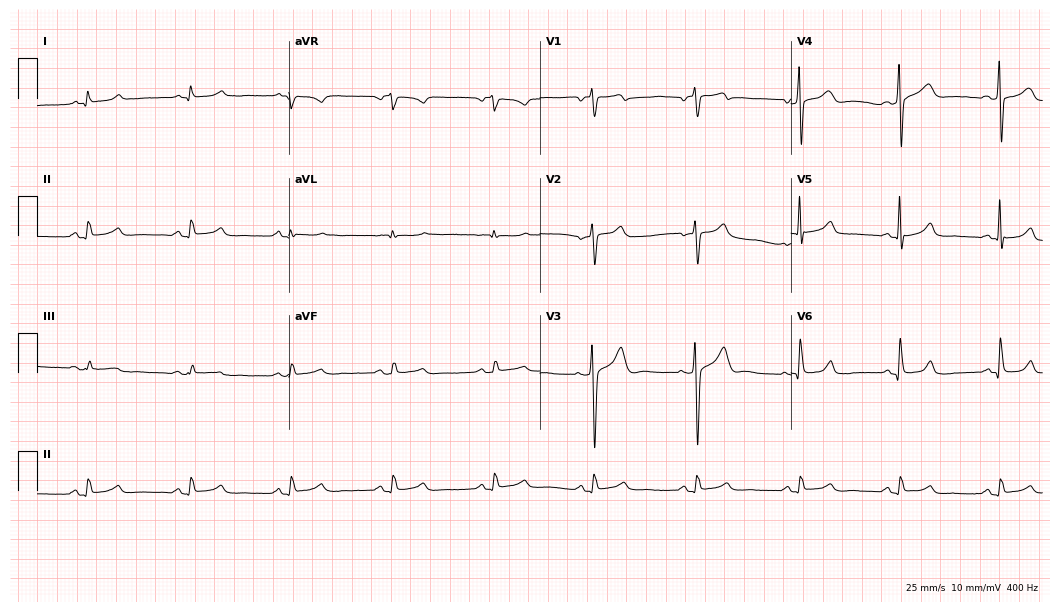
12-lead ECG from a 64-year-old male. Recorded interpretation: within normal limits.